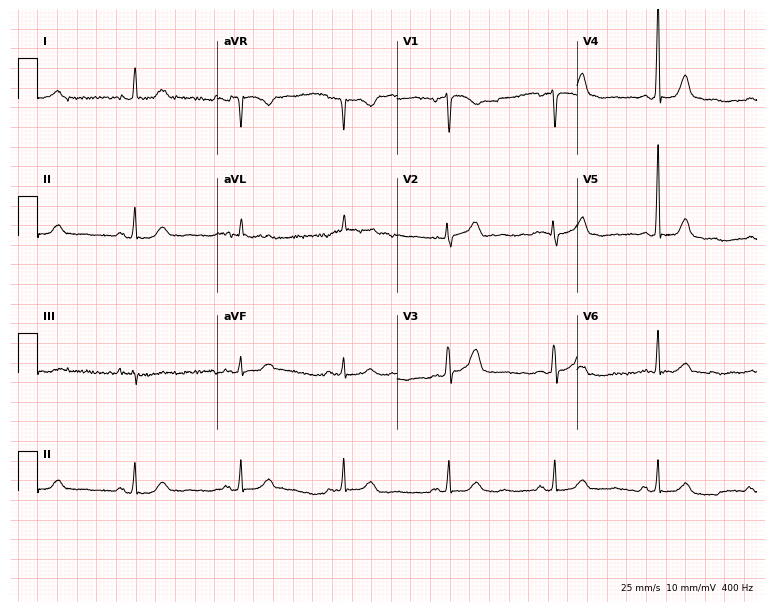
Resting 12-lead electrocardiogram (7.3-second recording at 400 Hz). Patient: a female, 77 years old. None of these six findings is recorded: first-degree AV block, right bundle branch block, left bundle branch block, sinus bradycardia, atrial fibrillation, sinus tachycardia. Findings outside these six are not listed.